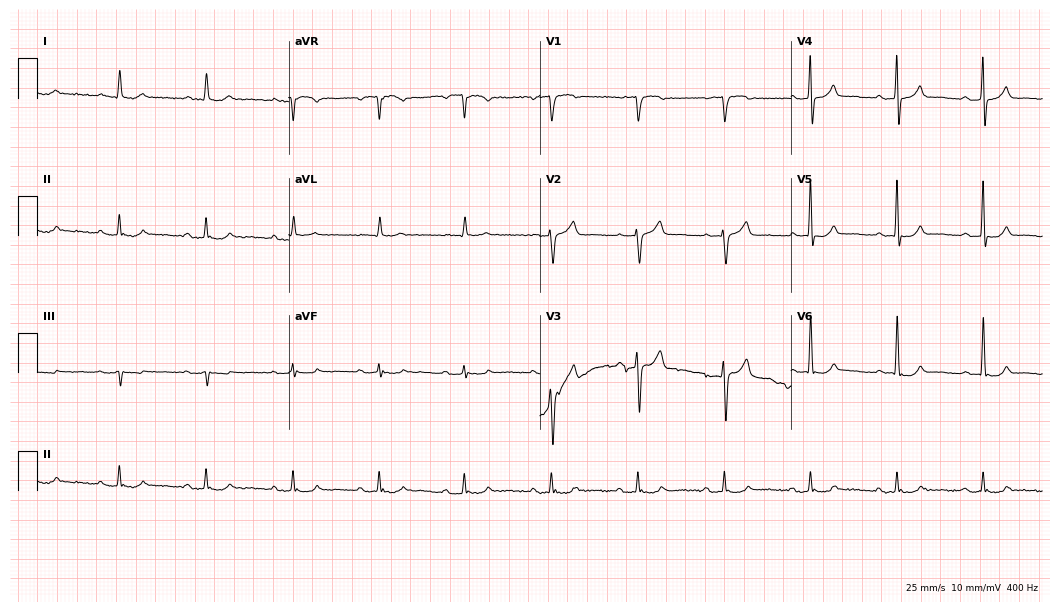
Standard 12-lead ECG recorded from a man, 77 years old. None of these six findings is recorded: first-degree AV block, right bundle branch block, left bundle branch block, sinus bradycardia, atrial fibrillation, sinus tachycardia. Findings outside these six are not listed.